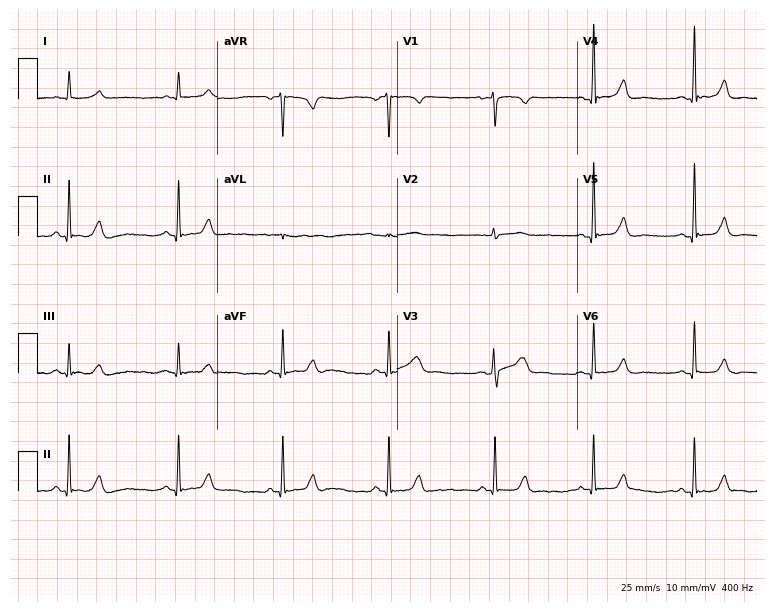
Electrocardiogram (7.3-second recording at 400 Hz), a female patient, 49 years old. Of the six screened findings (first-degree AV block, right bundle branch block (RBBB), left bundle branch block (LBBB), sinus bradycardia, atrial fibrillation (AF), sinus tachycardia), none is recorded.